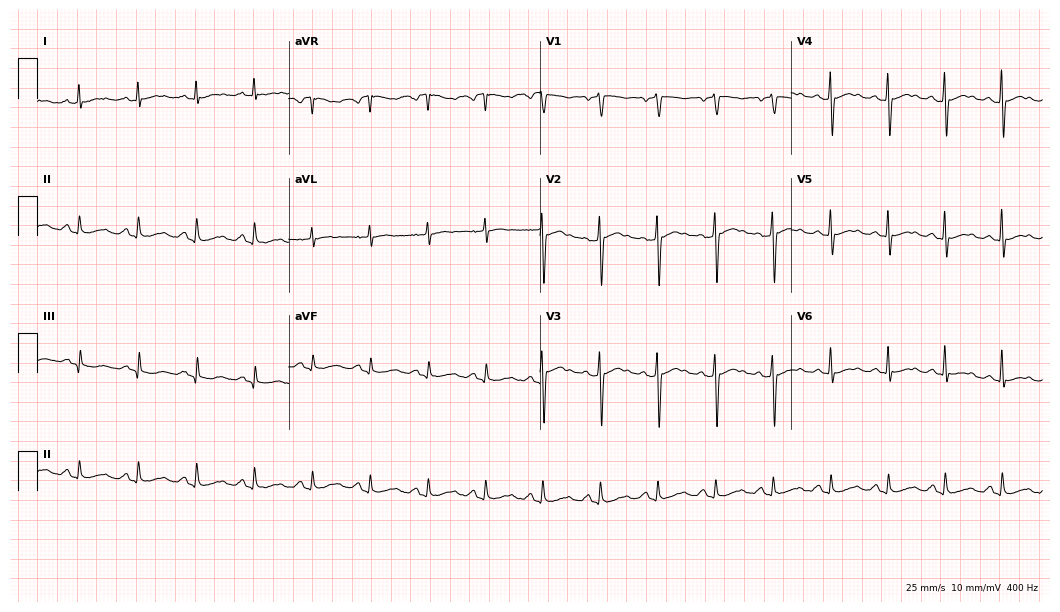
12-lead ECG from a 57-year-old female patient. Screened for six findings — first-degree AV block, right bundle branch block, left bundle branch block, sinus bradycardia, atrial fibrillation, sinus tachycardia — none is recorded.